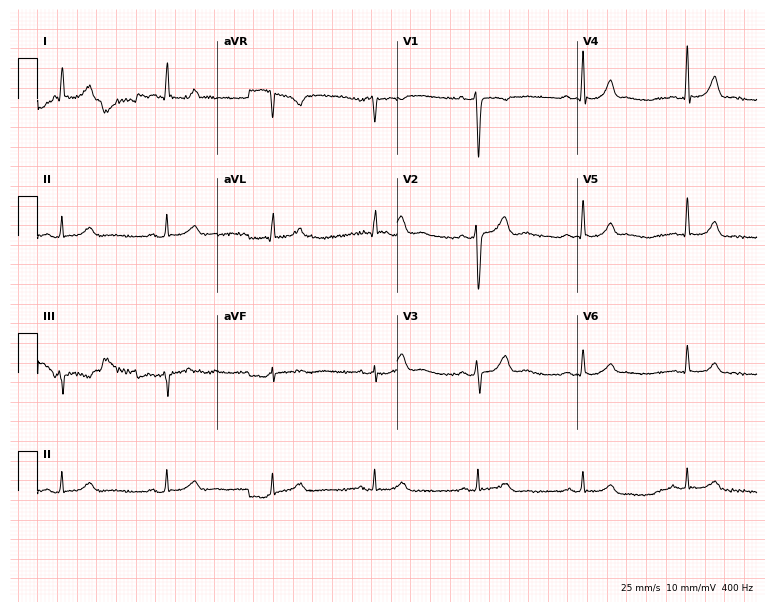
12-lead ECG (7.3-second recording at 400 Hz) from a male patient, 51 years old. Labelled as a normal ECG.